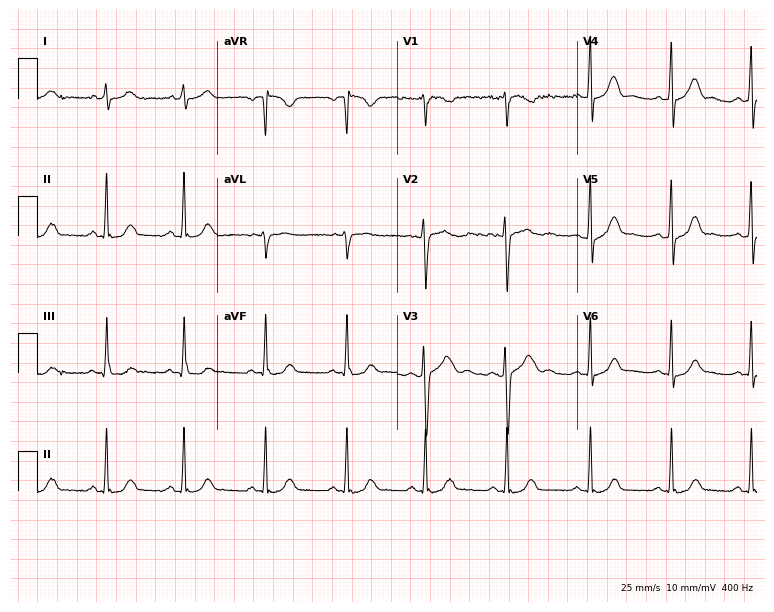
Standard 12-lead ECG recorded from a 25-year-old woman (7.3-second recording at 400 Hz). Read as a normal ECG.